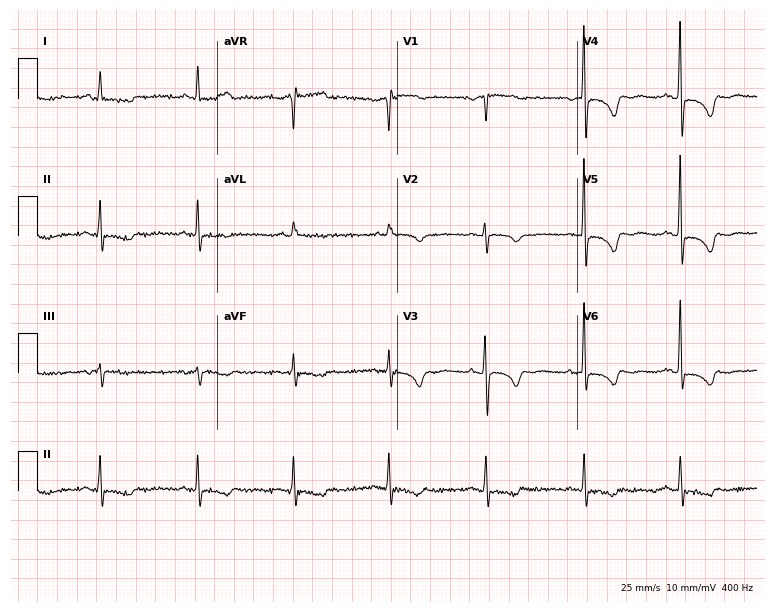
ECG (7.3-second recording at 400 Hz) — a 77-year-old woman. Screened for six findings — first-degree AV block, right bundle branch block, left bundle branch block, sinus bradycardia, atrial fibrillation, sinus tachycardia — none is recorded.